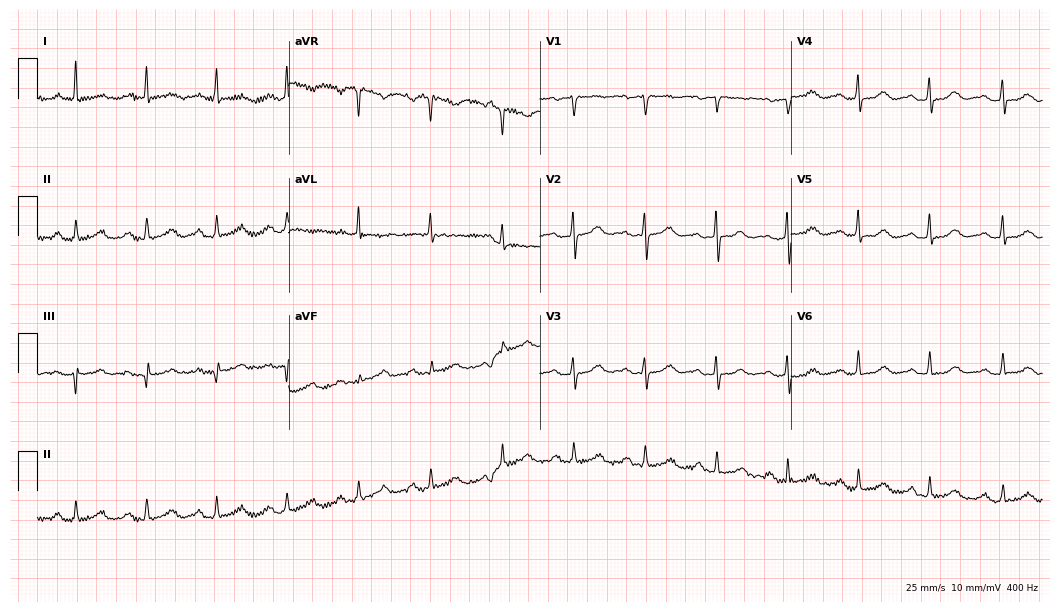
Resting 12-lead electrocardiogram (10.2-second recording at 400 Hz). Patient: a female, 66 years old. None of these six findings is recorded: first-degree AV block, right bundle branch block, left bundle branch block, sinus bradycardia, atrial fibrillation, sinus tachycardia. Only these six findings were labelled.